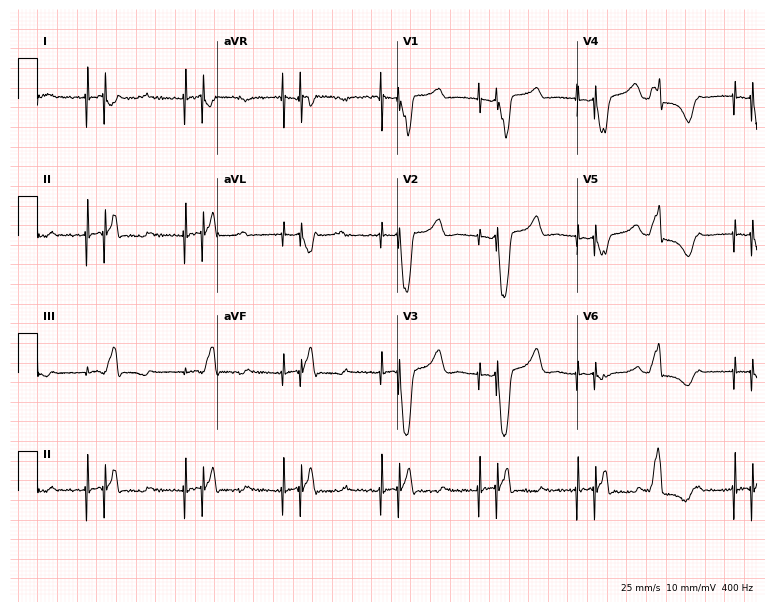
ECG (7.3-second recording at 400 Hz) — a 77-year-old male. Screened for six findings — first-degree AV block, right bundle branch block, left bundle branch block, sinus bradycardia, atrial fibrillation, sinus tachycardia — none is recorded.